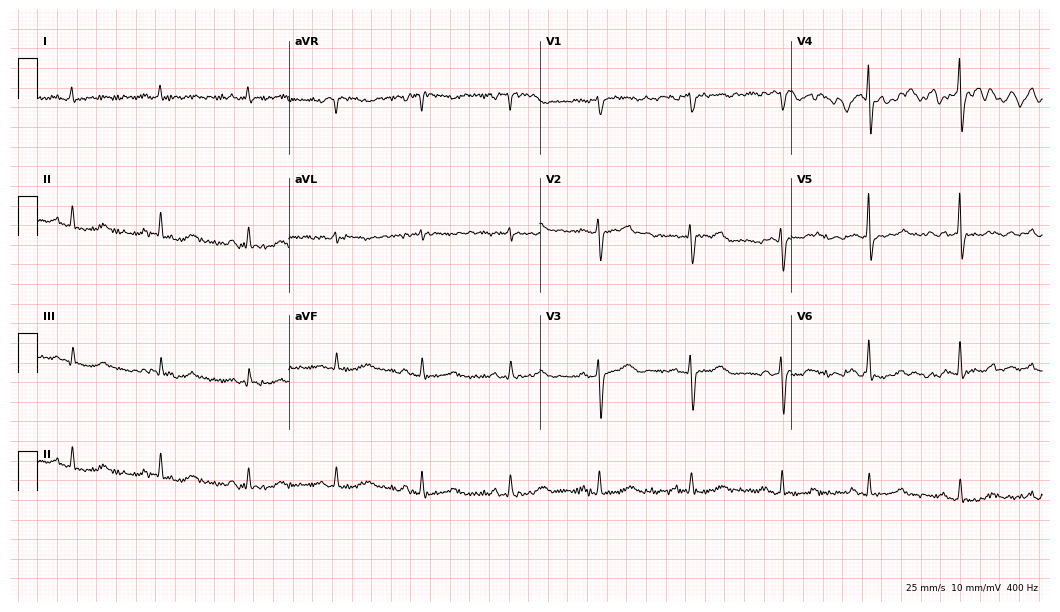
12-lead ECG from a 54-year-old female (10.2-second recording at 400 Hz). No first-degree AV block, right bundle branch block, left bundle branch block, sinus bradycardia, atrial fibrillation or sinus tachycardia recorded for this tracing.